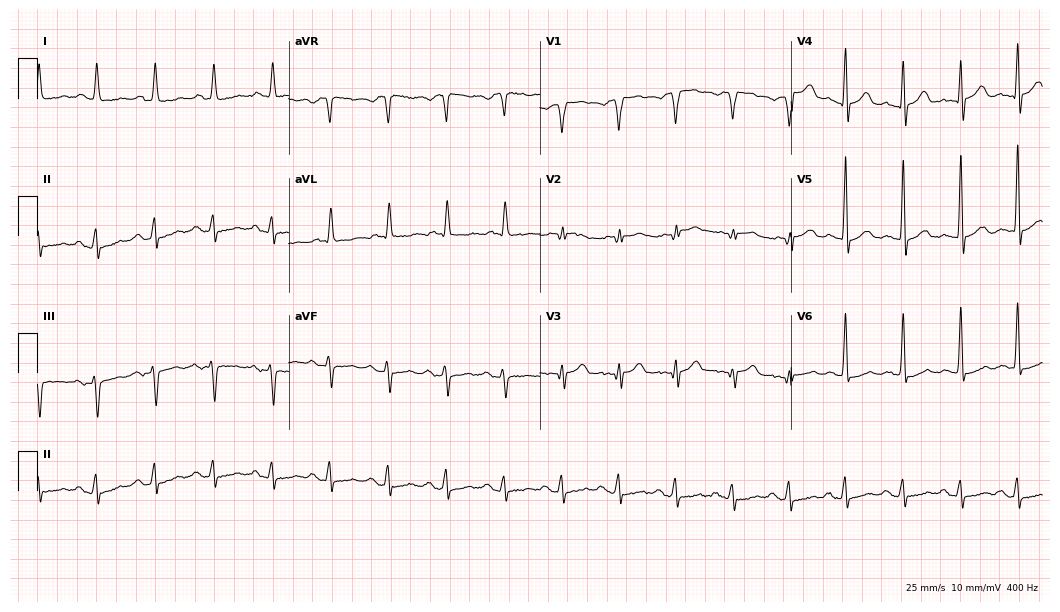
12-lead ECG from a male, 77 years old. Findings include sinus tachycardia (a sinus rate of 100 beats per minute or more).